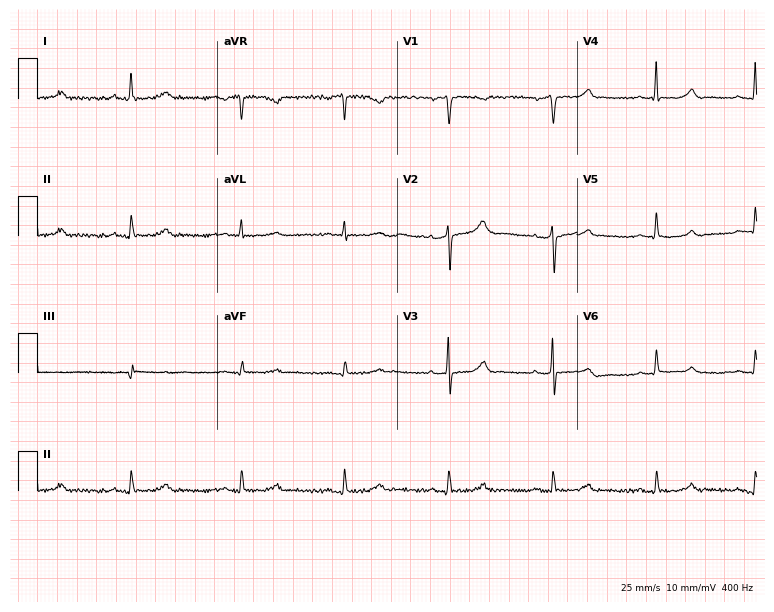
12-lead ECG from a female, 51 years old. Labelled as a normal ECG.